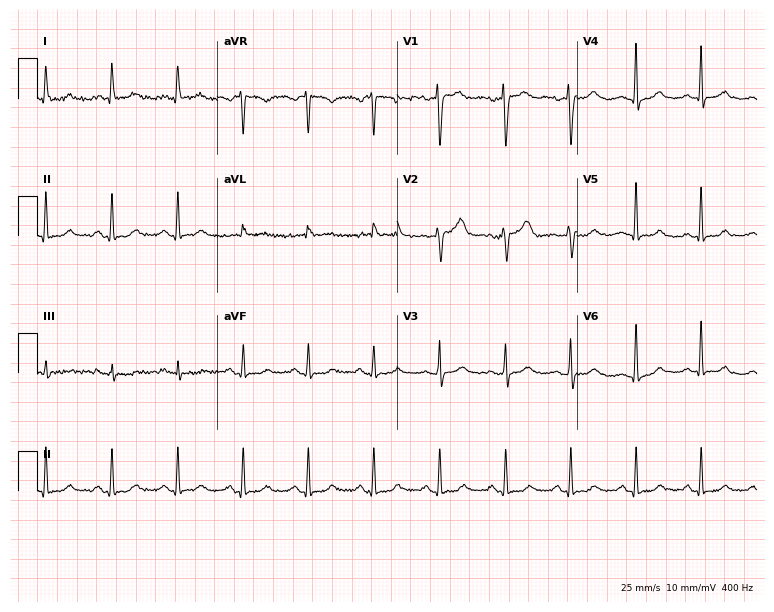
ECG (7.3-second recording at 400 Hz) — a female, 55 years old. Screened for six findings — first-degree AV block, right bundle branch block, left bundle branch block, sinus bradycardia, atrial fibrillation, sinus tachycardia — none is recorded. Only these six findings were labelled.